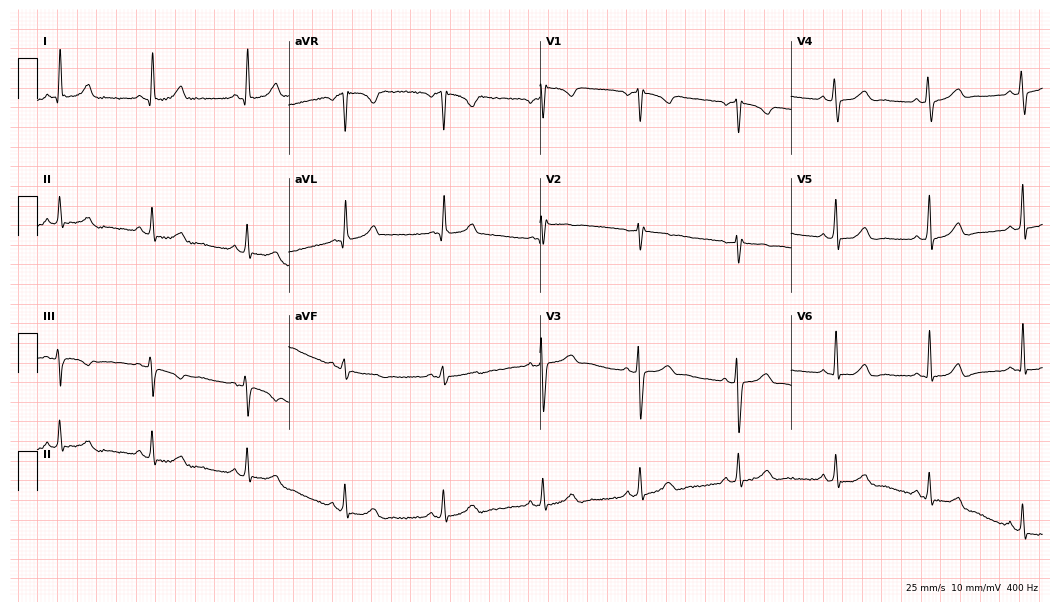
Standard 12-lead ECG recorded from a female patient, 33 years old. Read as a normal ECG.